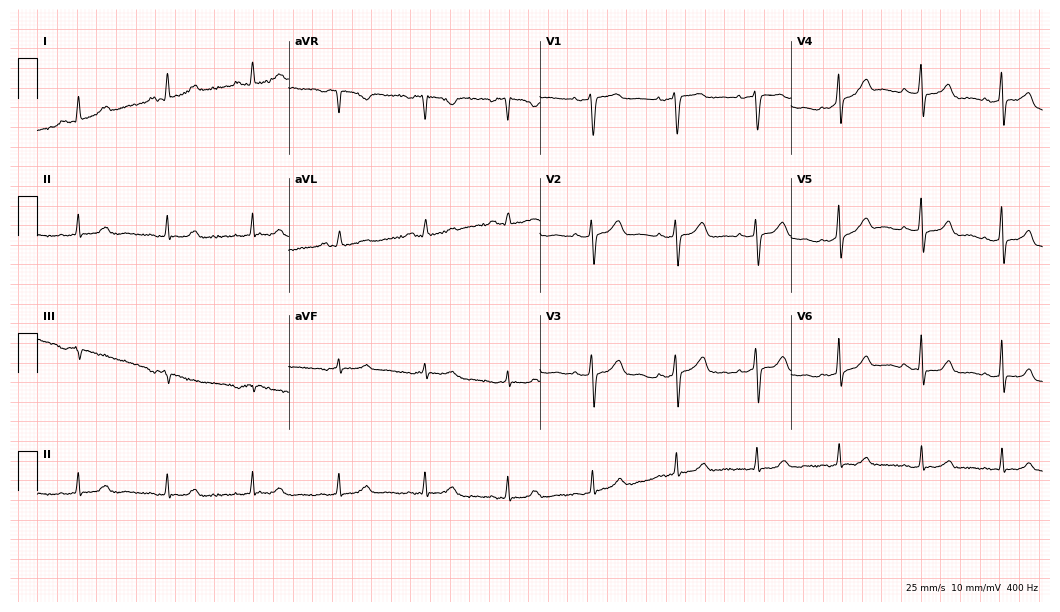
Resting 12-lead electrocardiogram. Patient: a female, 45 years old. None of these six findings is recorded: first-degree AV block, right bundle branch block (RBBB), left bundle branch block (LBBB), sinus bradycardia, atrial fibrillation (AF), sinus tachycardia. Only these six findings were labelled.